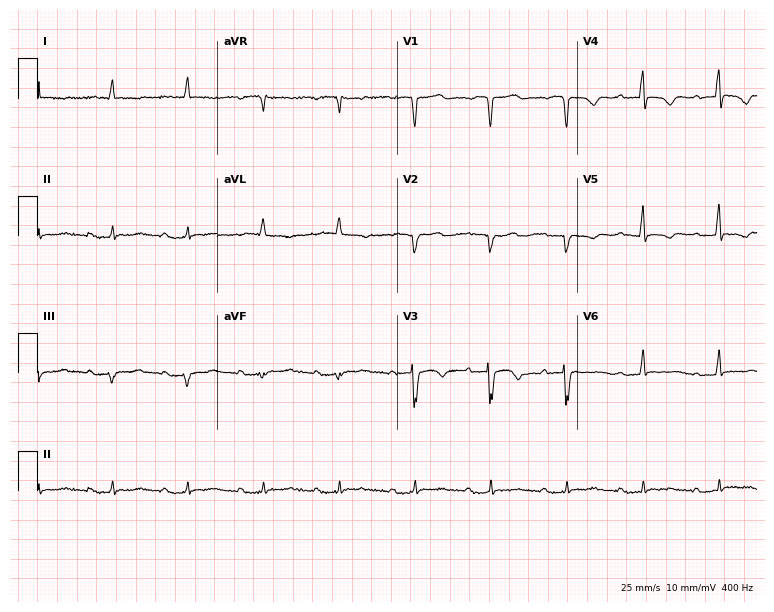
12-lead ECG (7.3-second recording at 400 Hz) from a 79-year-old male. Screened for six findings — first-degree AV block, right bundle branch block (RBBB), left bundle branch block (LBBB), sinus bradycardia, atrial fibrillation (AF), sinus tachycardia — none is recorded. Findings outside these six are not listed.